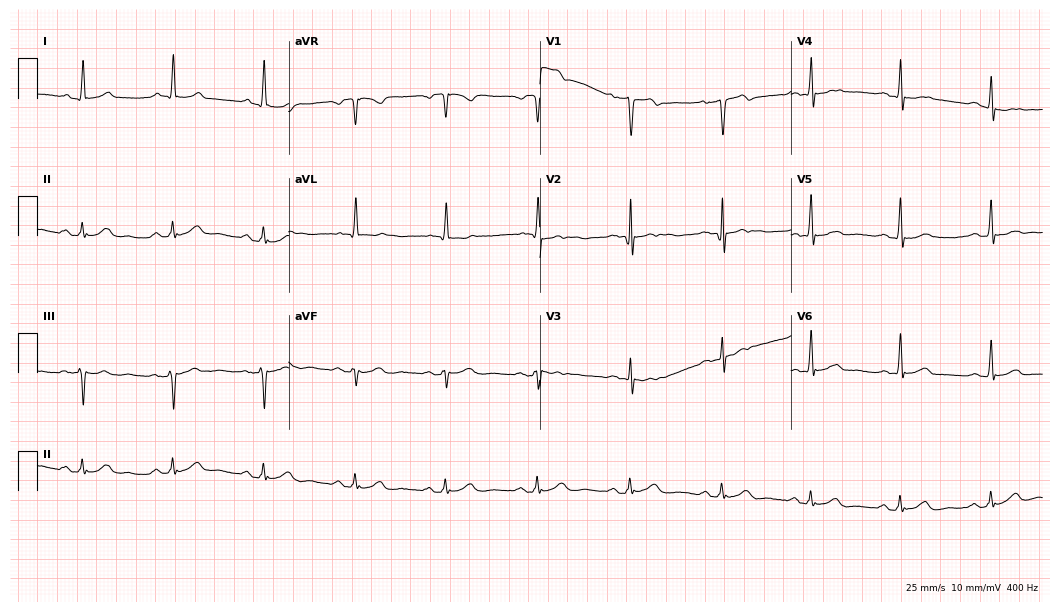
Electrocardiogram, a male patient, 61 years old. Of the six screened findings (first-degree AV block, right bundle branch block (RBBB), left bundle branch block (LBBB), sinus bradycardia, atrial fibrillation (AF), sinus tachycardia), none is recorded. Findings outside these six are not listed.